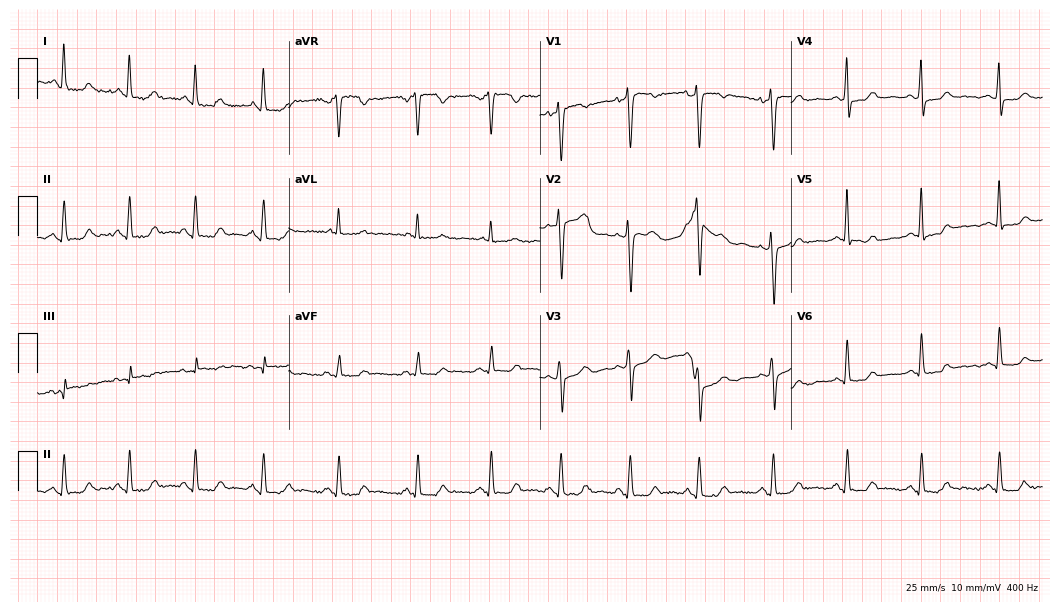
Standard 12-lead ECG recorded from a female patient, 38 years old (10.2-second recording at 400 Hz). None of these six findings is recorded: first-degree AV block, right bundle branch block (RBBB), left bundle branch block (LBBB), sinus bradycardia, atrial fibrillation (AF), sinus tachycardia.